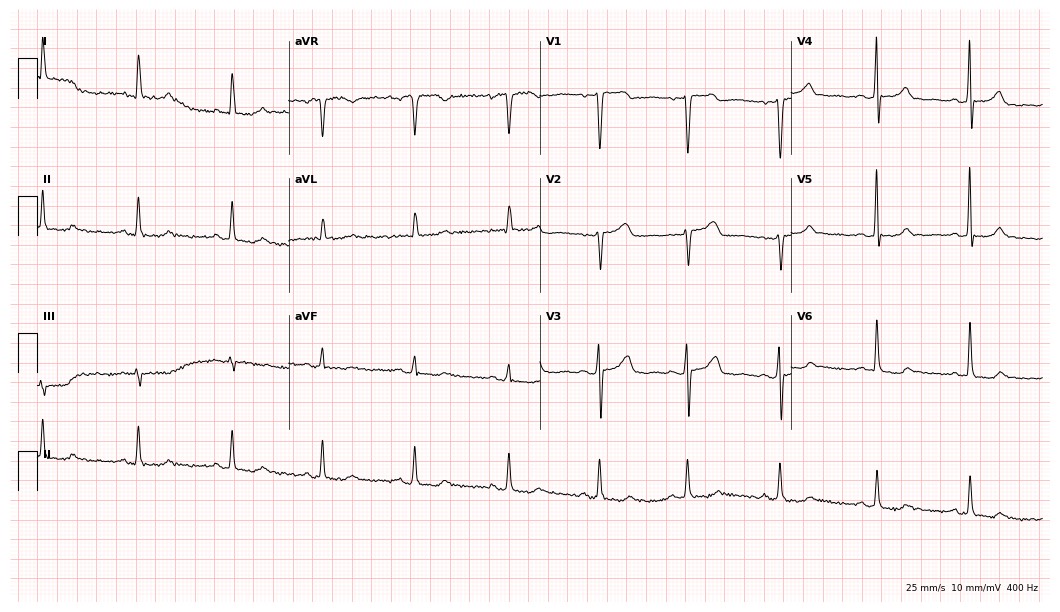
ECG (10.2-second recording at 400 Hz) — a 67-year-old female. Labelled as a normal ECG.